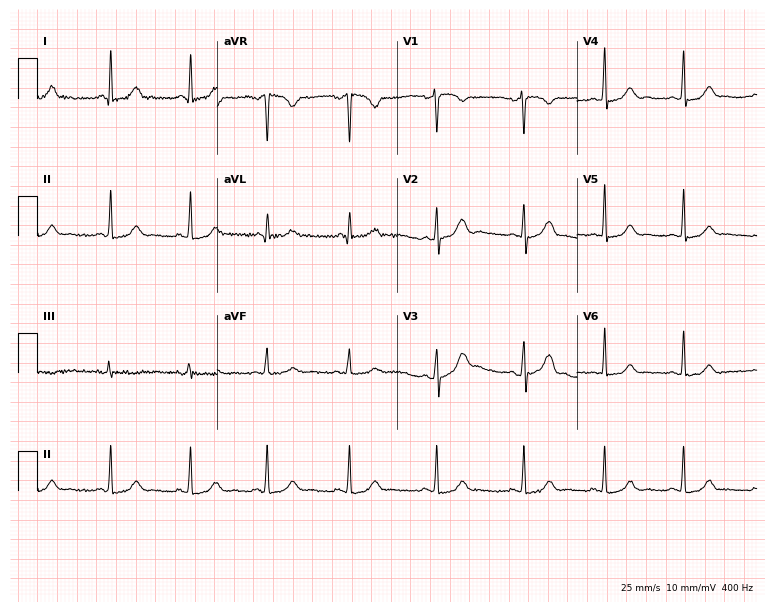
Resting 12-lead electrocardiogram. Patient: a 29-year-old female. None of these six findings is recorded: first-degree AV block, right bundle branch block, left bundle branch block, sinus bradycardia, atrial fibrillation, sinus tachycardia. Only these six findings were labelled.